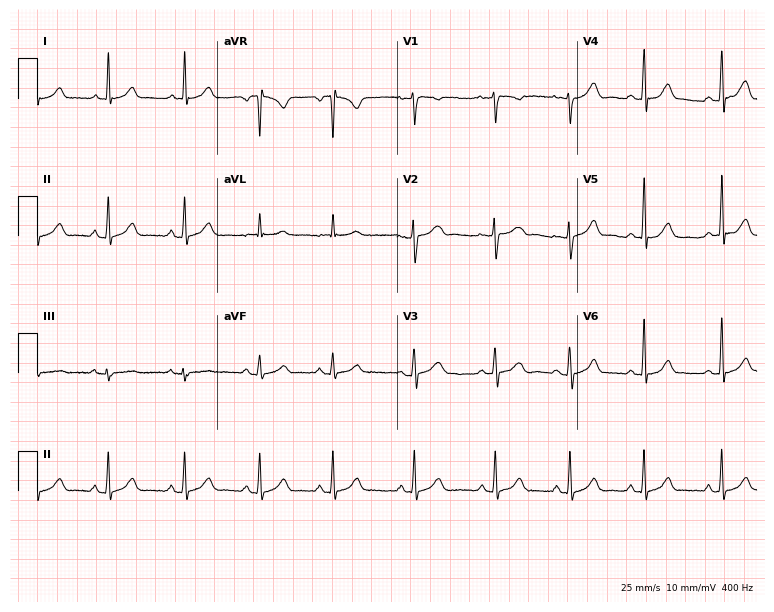
Standard 12-lead ECG recorded from a 31-year-old female. Read as a normal ECG.